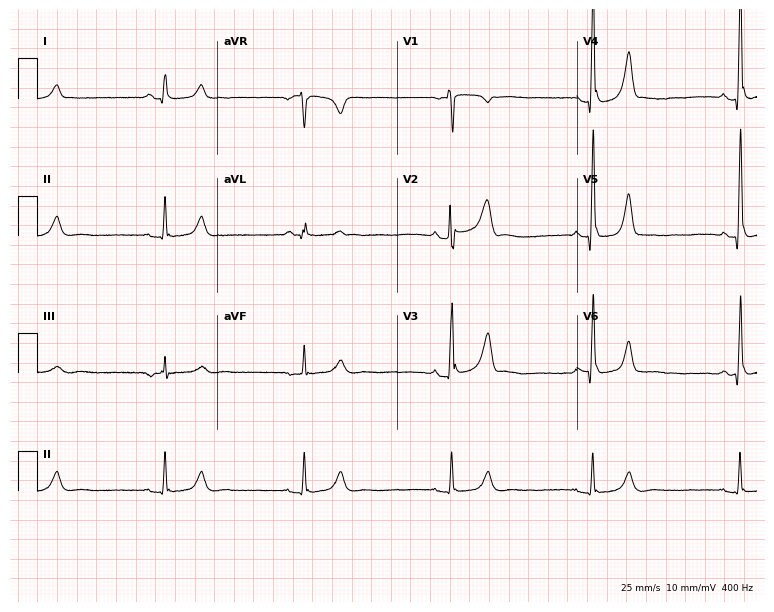
Standard 12-lead ECG recorded from a male patient, 50 years old (7.3-second recording at 400 Hz). The tracing shows sinus bradycardia (a sinus rate of 50 beats per minute or less).